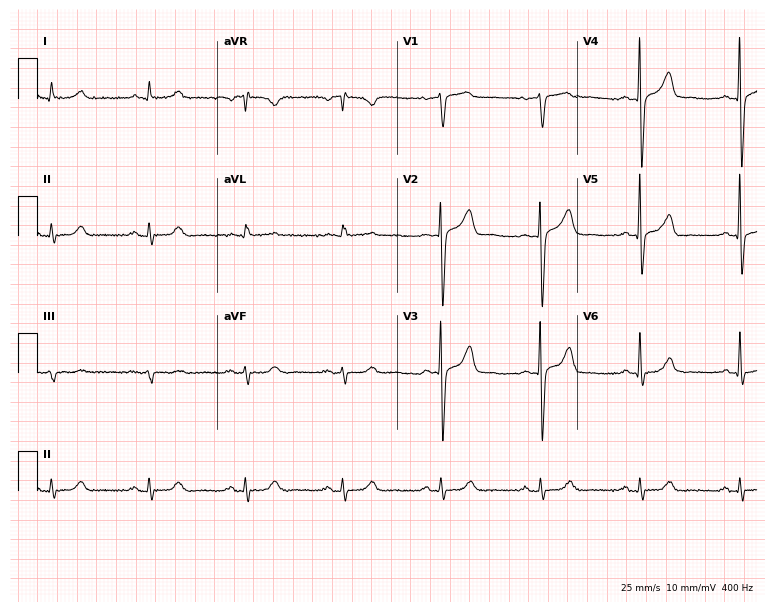
Standard 12-lead ECG recorded from a male, 61 years old. None of these six findings is recorded: first-degree AV block, right bundle branch block (RBBB), left bundle branch block (LBBB), sinus bradycardia, atrial fibrillation (AF), sinus tachycardia.